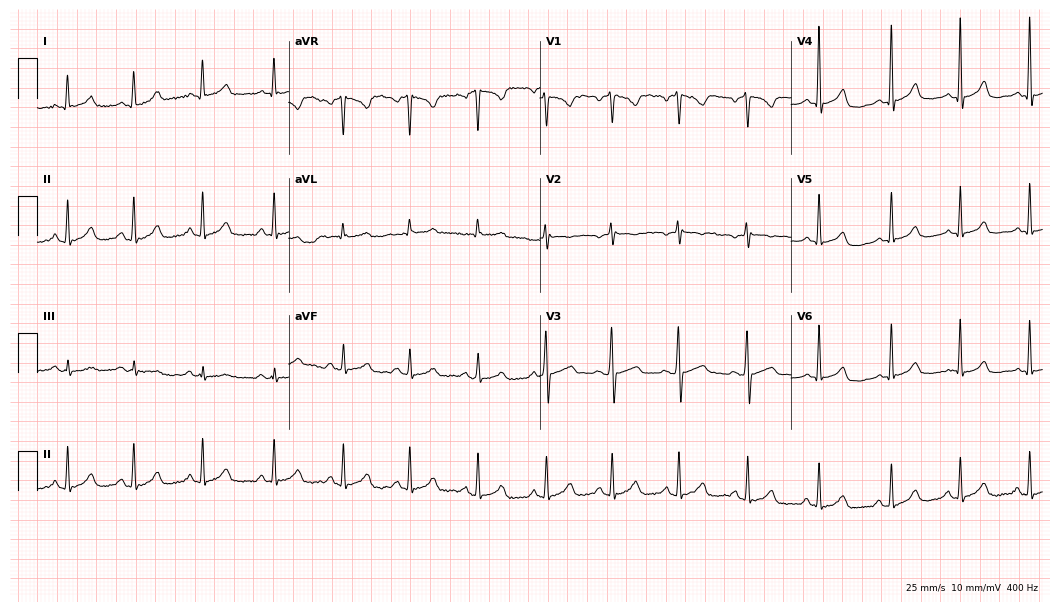
12-lead ECG from a female patient, 41 years old. Recorded interpretation: within normal limits.